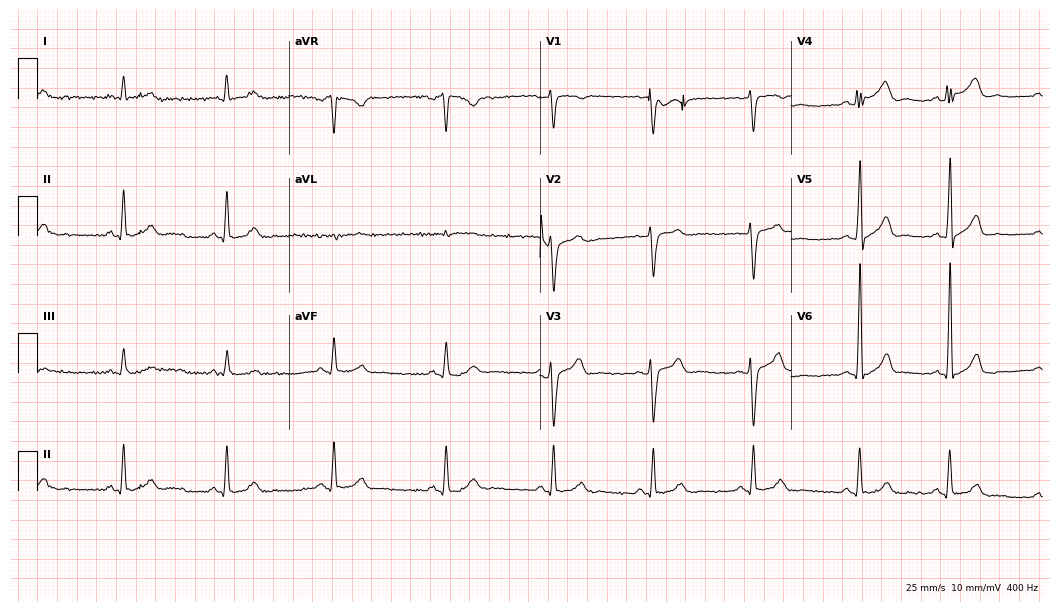
Resting 12-lead electrocardiogram. Patient: a male, 36 years old. Read as a normal ECG.